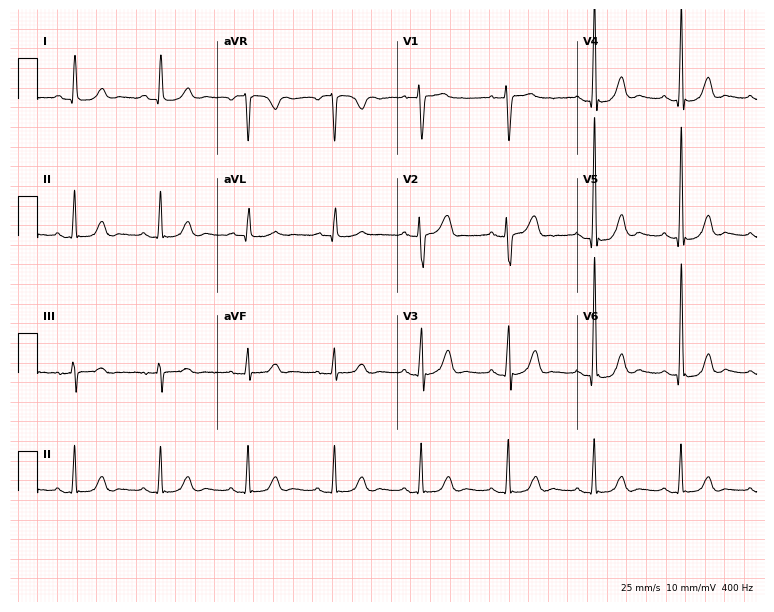
12-lead ECG from a female, 70 years old. No first-degree AV block, right bundle branch block, left bundle branch block, sinus bradycardia, atrial fibrillation or sinus tachycardia recorded for this tracing.